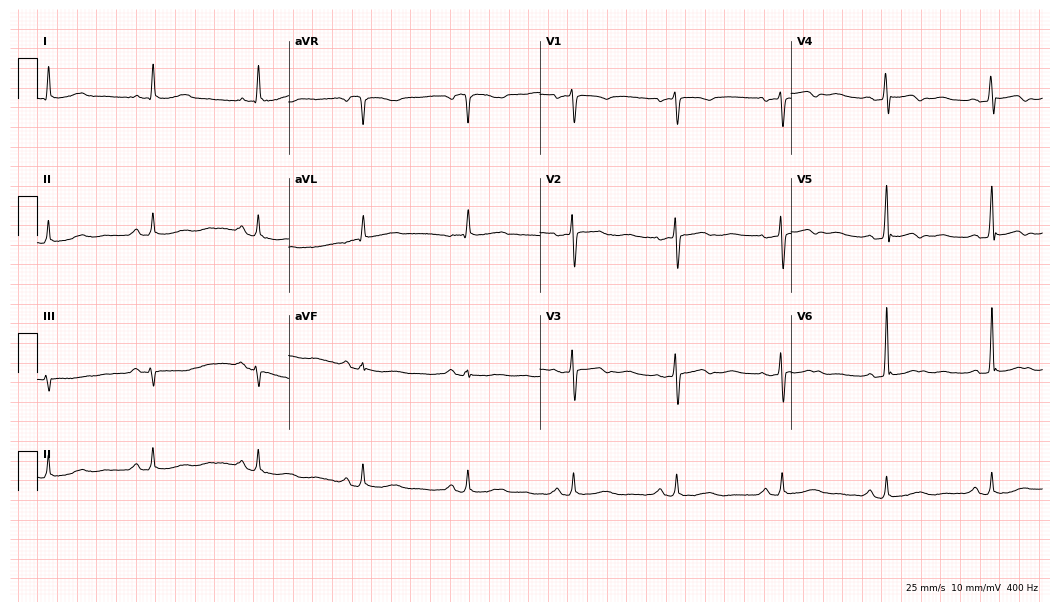
Electrocardiogram, a 60-year-old female. Of the six screened findings (first-degree AV block, right bundle branch block, left bundle branch block, sinus bradycardia, atrial fibrillation, sinus tachycardia), none is recorded. Other findings, if any, are not listed.